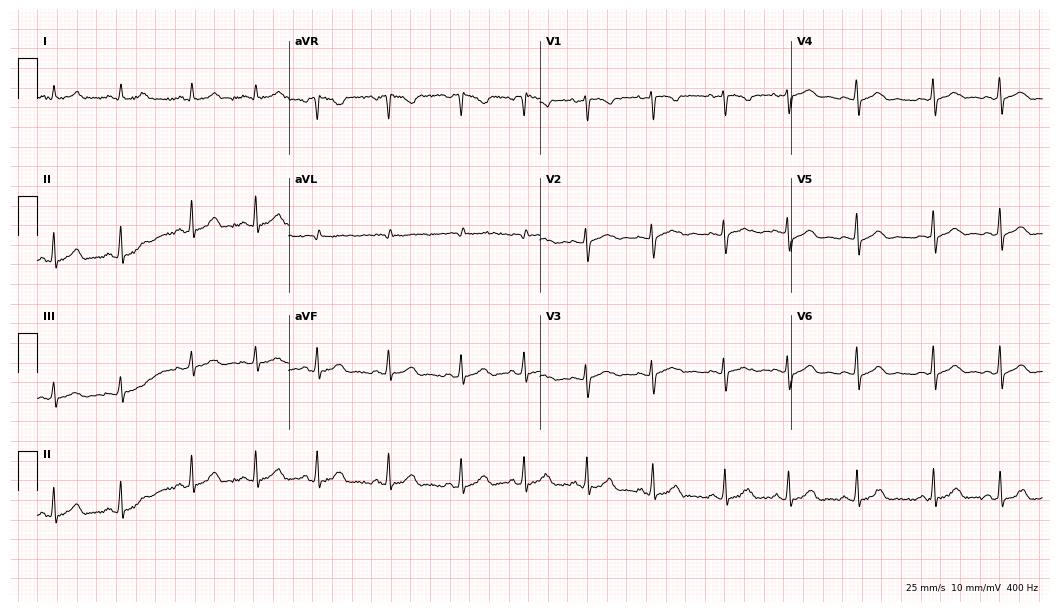
Standard 12-lead ECG recorded from a female, 18 years old. Read as a normal ECG.